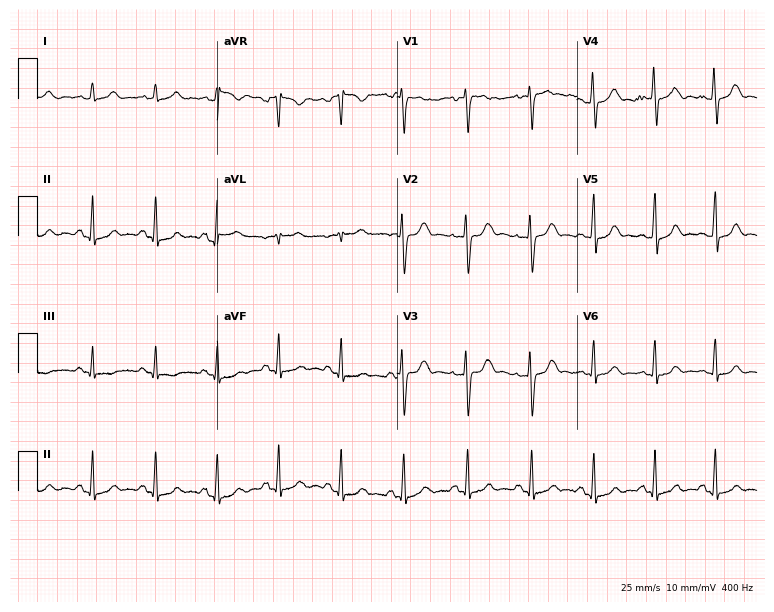
Resting 12-lead electrocardiogram. Patient: a 27-year-old female. None of these six findings is recorded: first-degree AV block, right bundle branch block, left bundle branch block, sinus bradycardia, atrial fibrillation, sinus tachycardia.